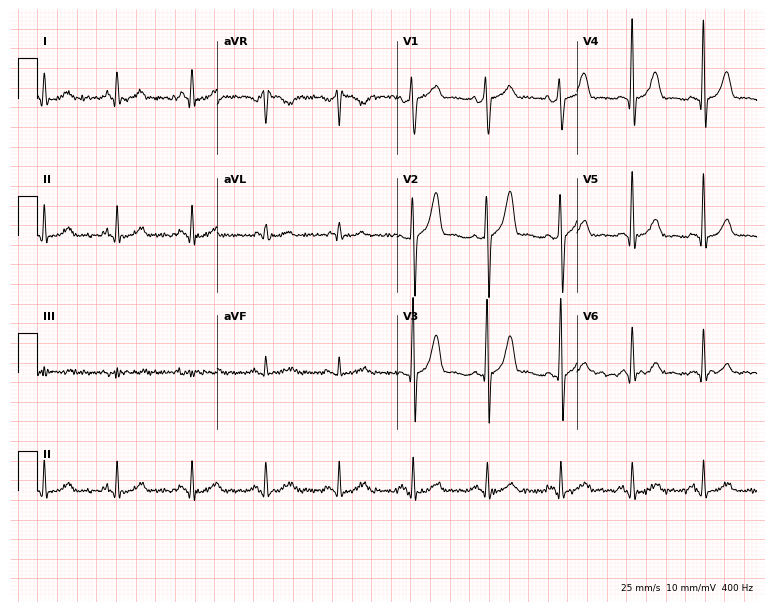
Electrocardiogram (7.3-second recording at 400 Hz), a 57-year-old male patient. Overall reading on record: normal ECG.